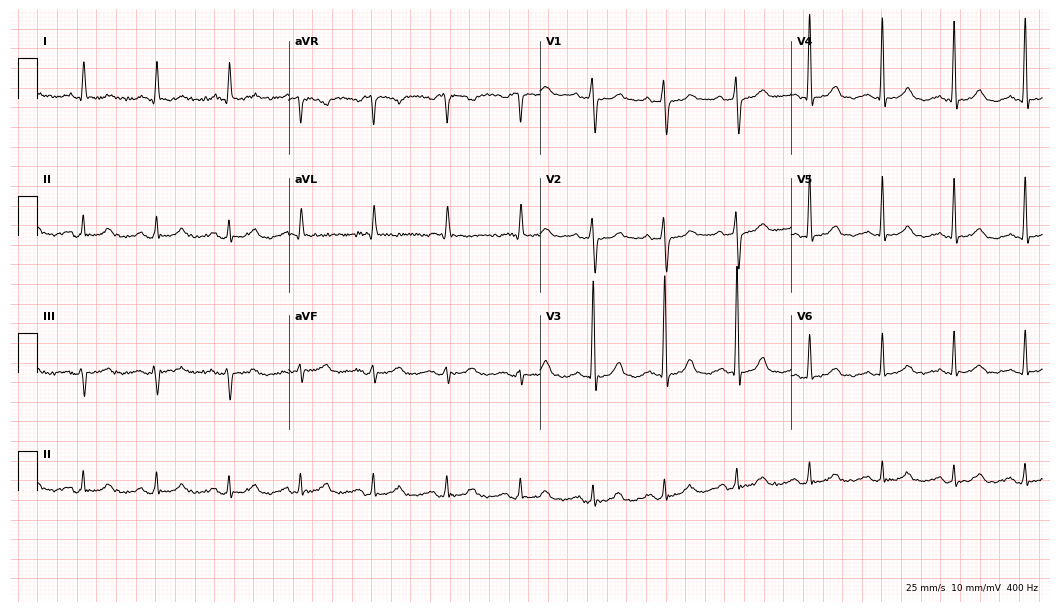
Electrocardiogram, a female patient, 81 years old. Overall reading on record: normal ECG.